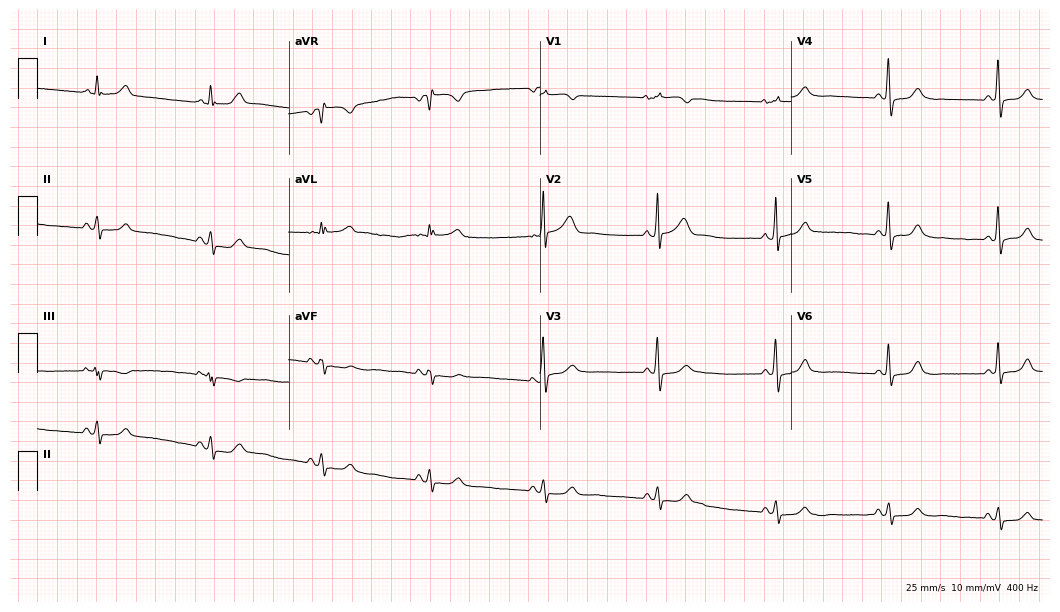
12-lead ECG (10.2-second recording at 400 Hz) from a 62-year-old woman. Labelled as a normal ECG.